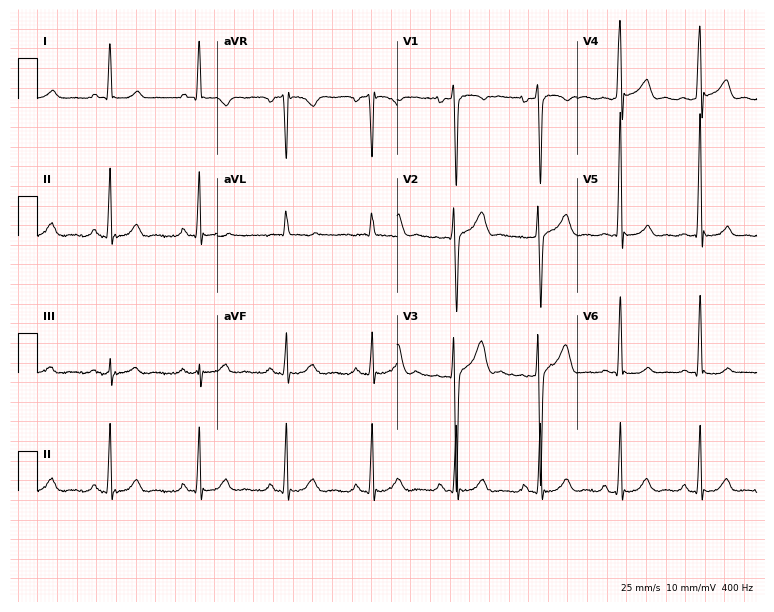
12-lead ECG from a male, 28 years old. Recorded interpretation: within normal limits.